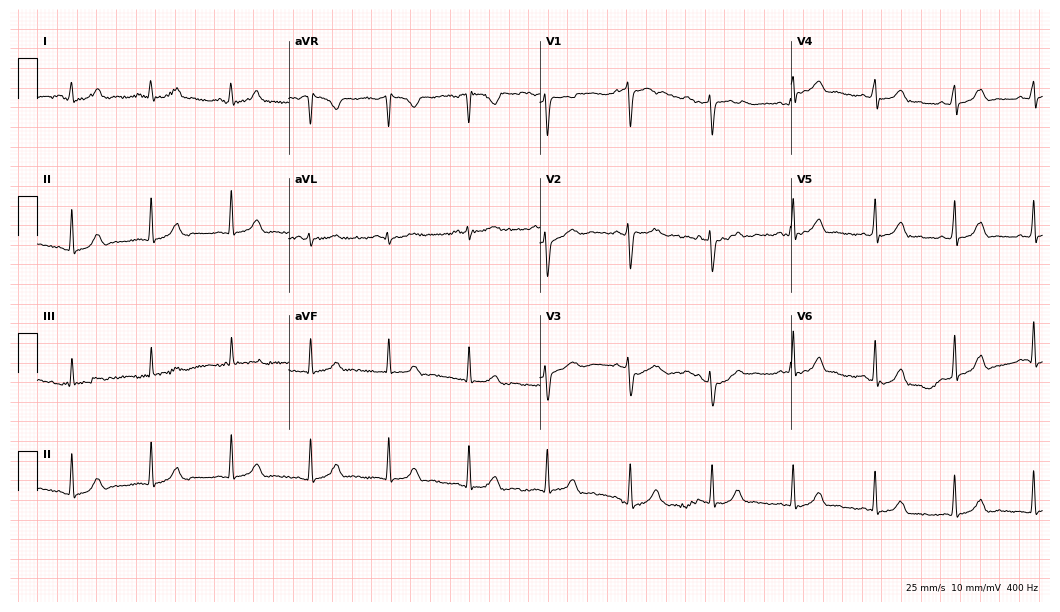
Resting 12-lead electrocardiogram (10.2-second recording at 400 Hz). Patient: a 30-year-old female. Read as a normal ECG.